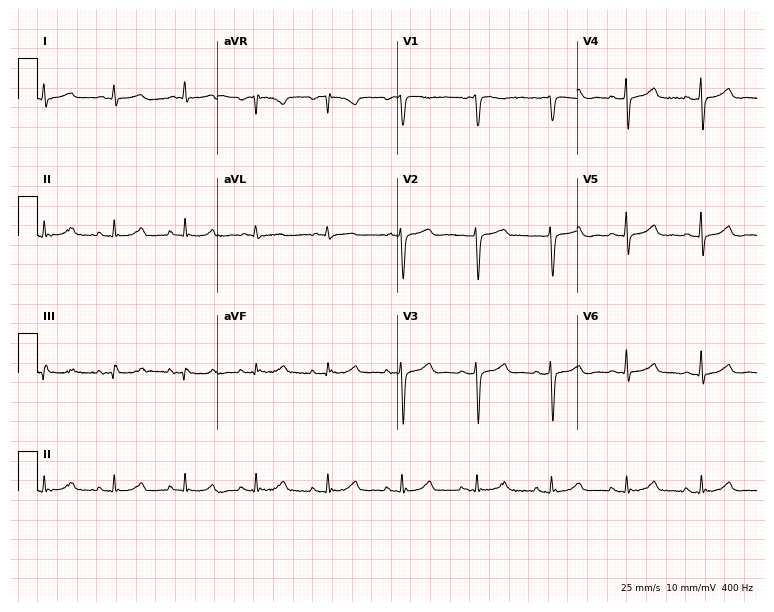
ECG — a 51-year-old woman. Labelled as a normal ECG.